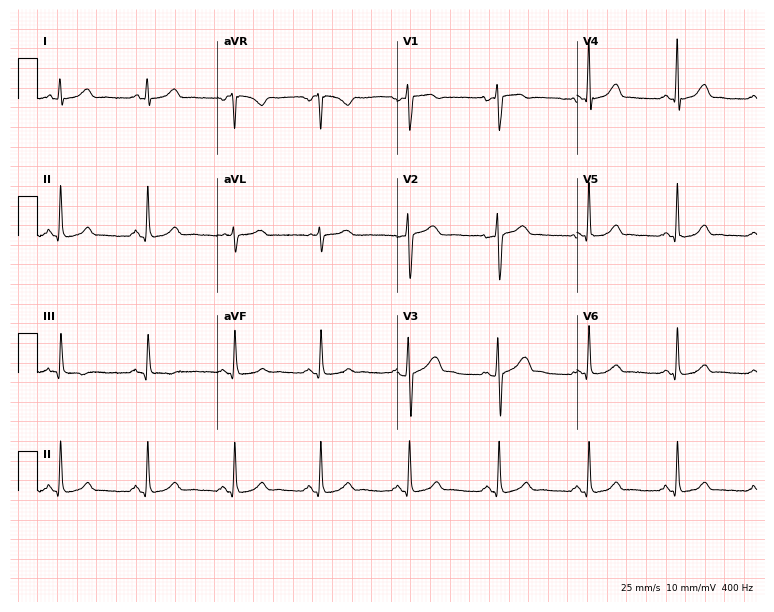
ECG (7.3-second recording at 400 Hz) — a female patient, 38 years old. Labelled as a normal ECG.